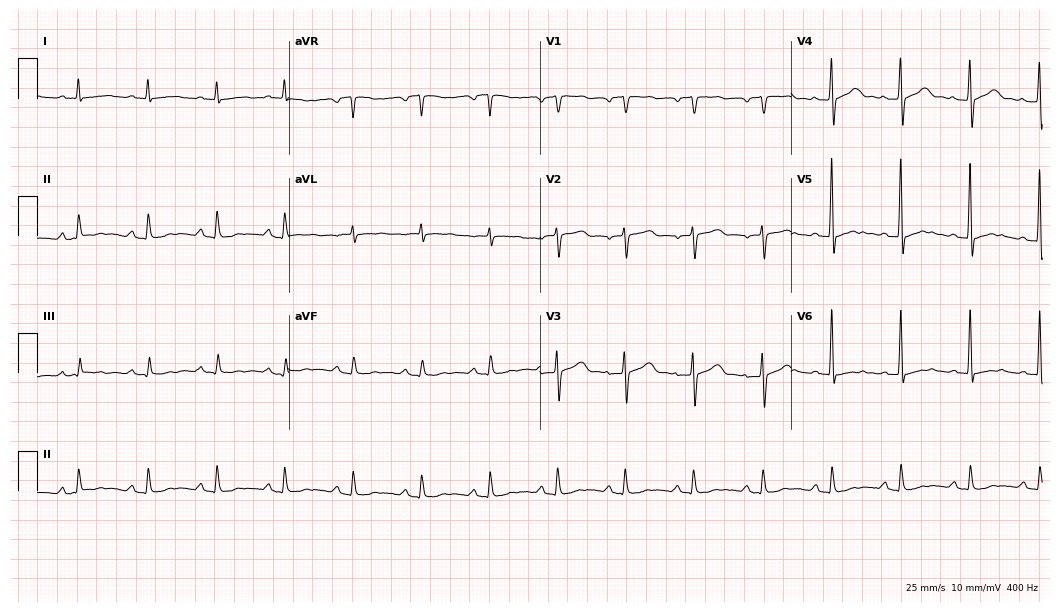
12-lead ECG from an 80-year-old male. Recorded interpretation: within normal limits.